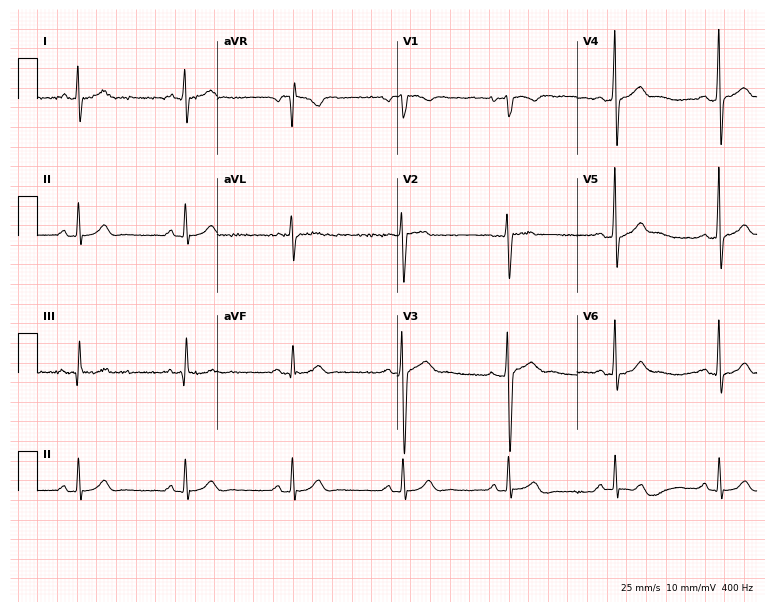
Resting 12-lead electrocardiogram. Patient: a 33-year-old male. Read as a normal ECG.